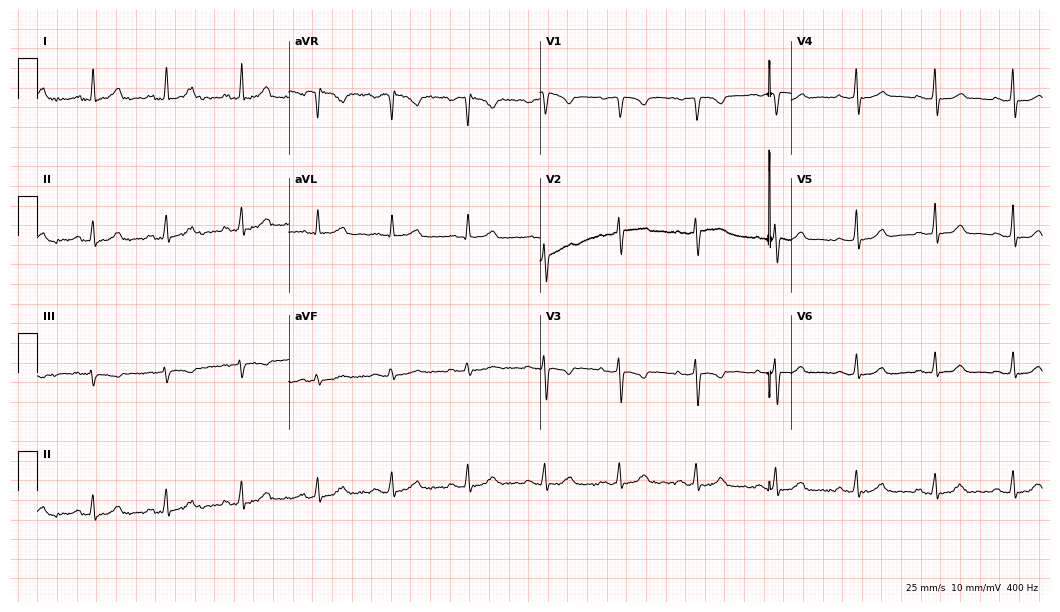
ECG (10.2-second recording at 400 Hz) — a female patient, 44 years old. Labelled as a normal ECG.